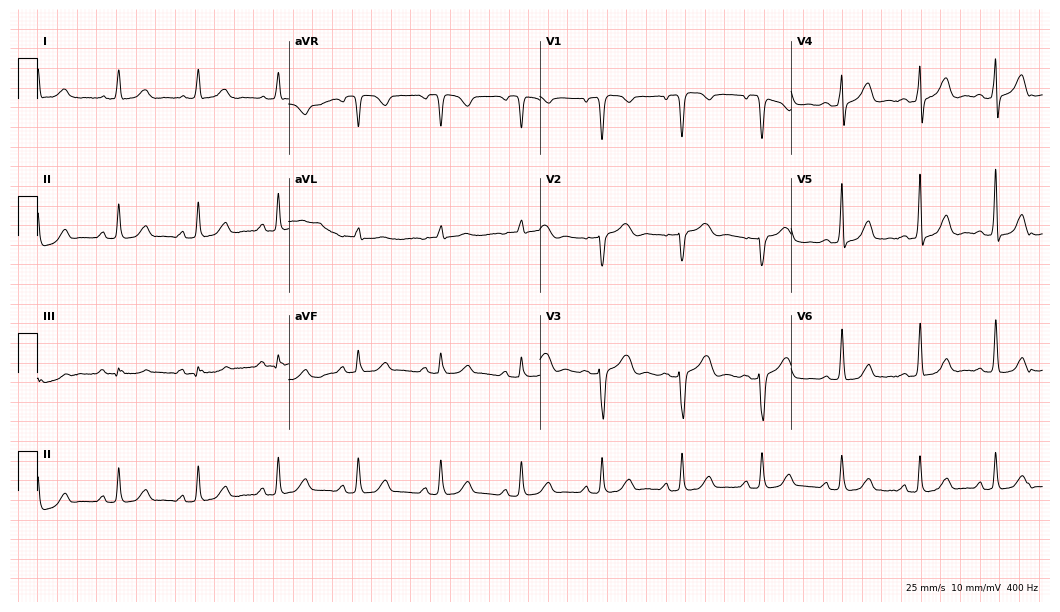
ECG (10.2-second recording at 400 Hz) — a woman, 59 years old. Labelled as a normal ECG.